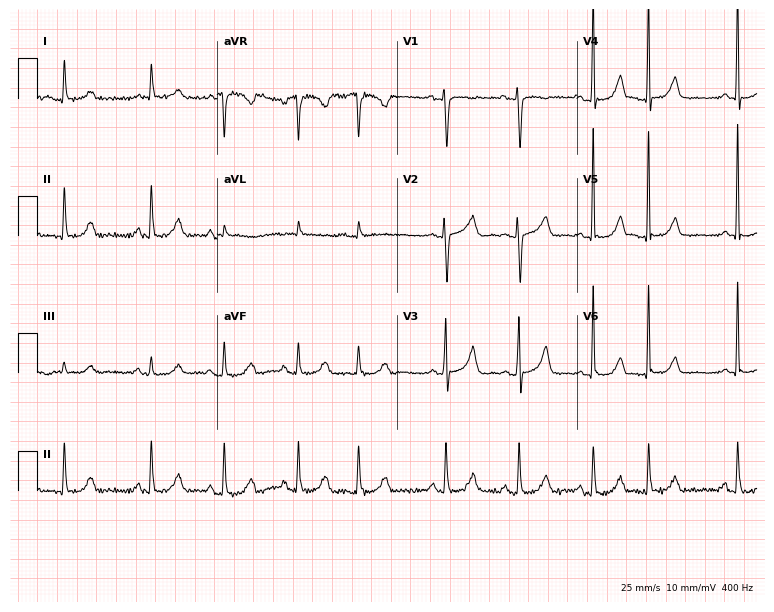
Standard 12-lead ECG recorded from a 77-year-old female. None of these six findings is recorded: first-degree AV block, right bundle branch block, left bundle branch block, sinus bradycardia, atrial fibrillation, sinus tachycardia.